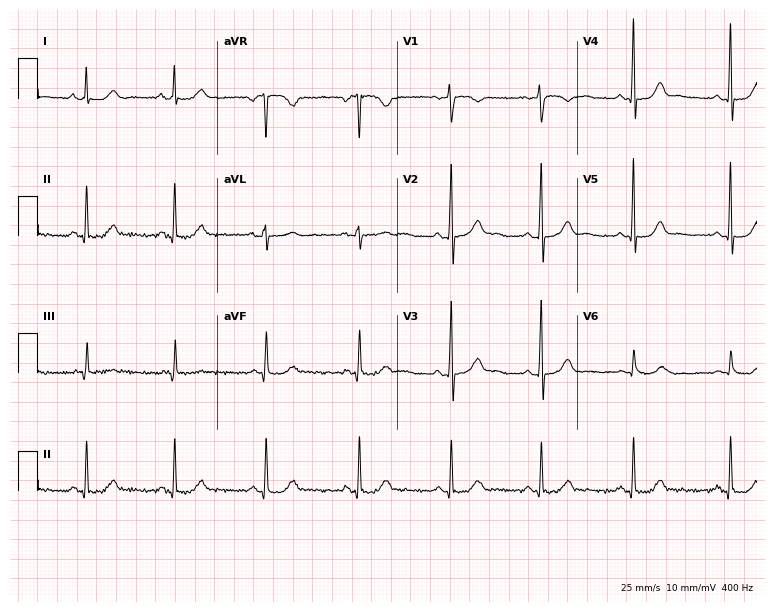
Resting 12-lead electrocardiogram. Patient: a female, 50 years old. Read as a normal ECG.